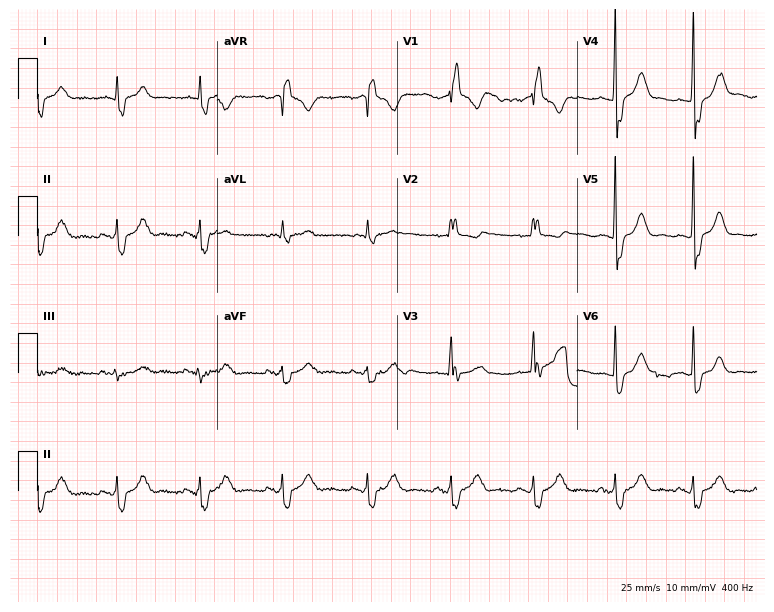
12-lead ECG (7.3-second recording at 400 Hz) from a 61-year-old male. Screened for six findings — first-degree AV block, right bundle branch block, left bundle branch block, sinus bradycardia, atrial fibrillation, sinus tachycardia — none is recorded. Findings outside these six are not listed.